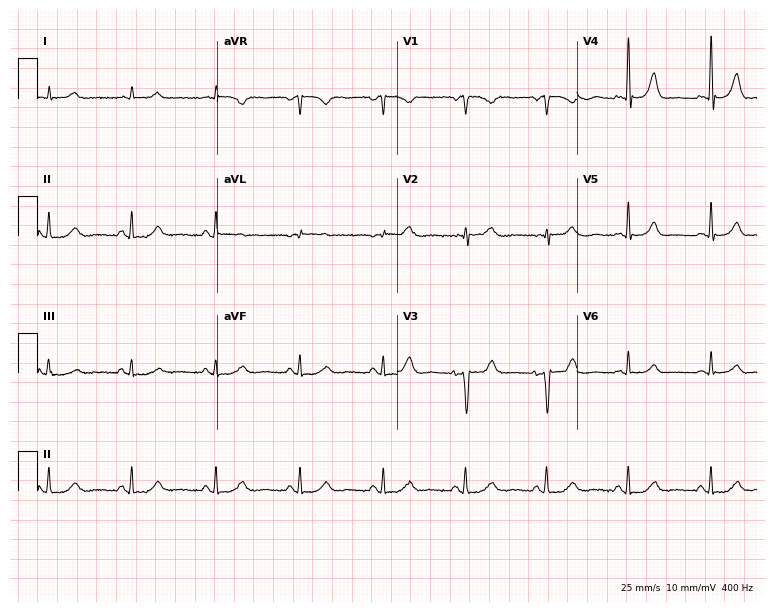
12-lead ECG from a female, 59 years old (7.3-second recording at 400 Hz). No first-degree AV block, right bundle branch block (RBBB), left bundle branch block (LBBB), sinus bradycardia, atrial fibrillation (AF) or sinus tachycardia recorded for this tracing.